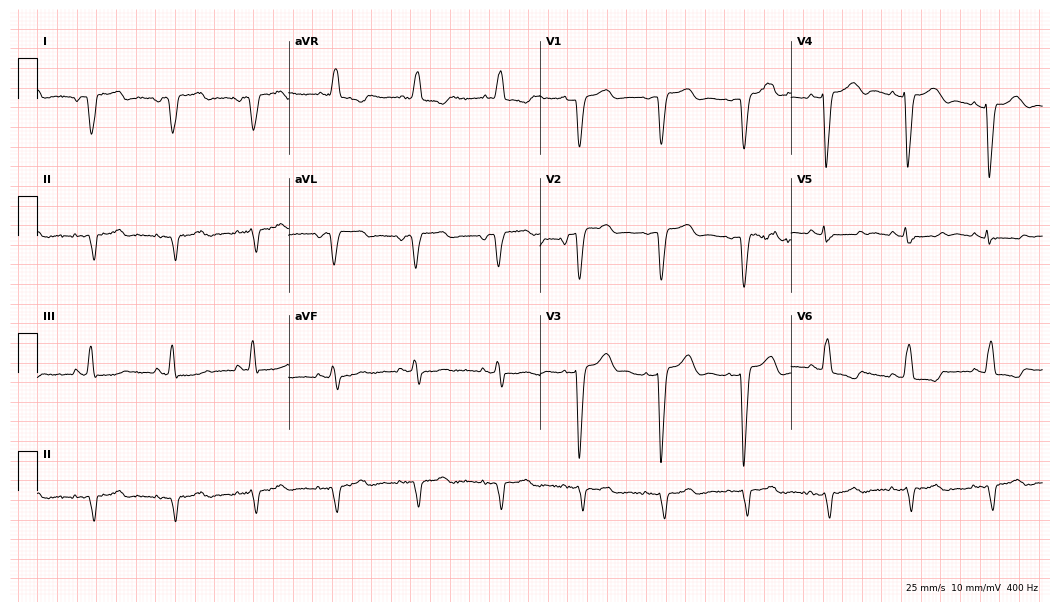
12-lead ECG (10.2-second recording at 400 Hz) from a 46-year-old woman. Screened for six findings — first-degree AV block, right bundle branch block, left bundle branch block, sinus bradycardia, atrial fibrillation, sinus tachycardia — none is recorded. Findings outside these six are not listed.